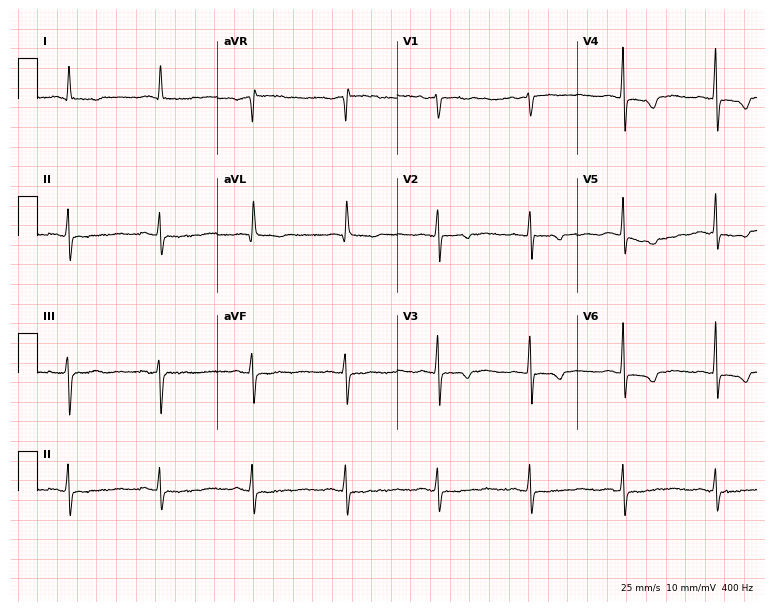
ECG (7.3-second recording at 400 Hz) — a female, 88 years old. Screened for six findings — first-degree AV block, right bundle branch block (RBBB), left bundle branch block (LBBB), sinus bradycardia, atrial fibrillation (AF), sinus tachycardia — none is recorded. Only these six findings were labelled.